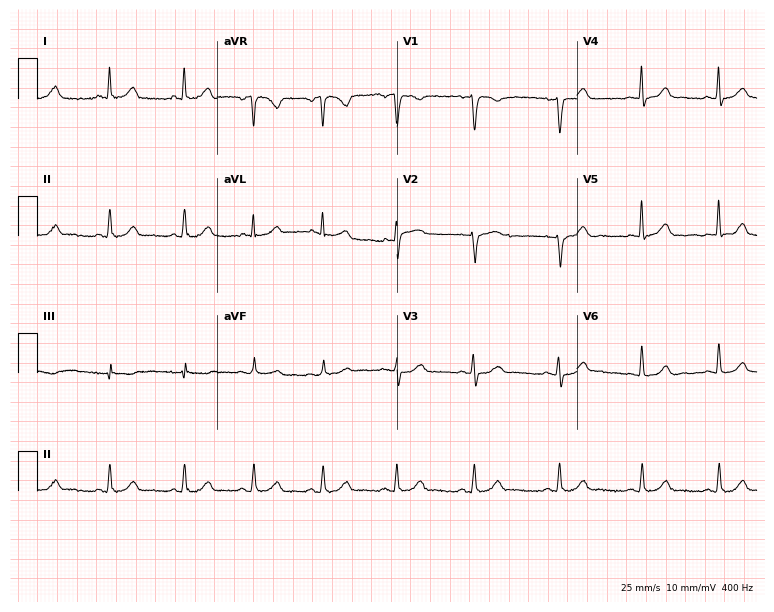
Resting 12-lead electrocardiogram. Patient: a female, 34 years old. Read as a normal ECG.